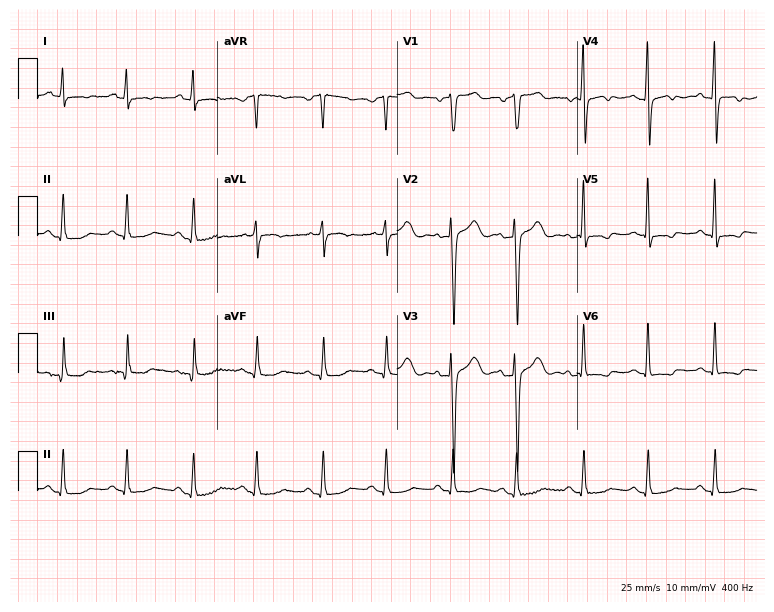
12-lead ECG from a female patient, 74 years old. Screened for six findings — first-degree AV block, right bundle branch block, left bundle branch block, sinus bradycardia, atrial fibrillation, sinus tachycardia — none is recorded.